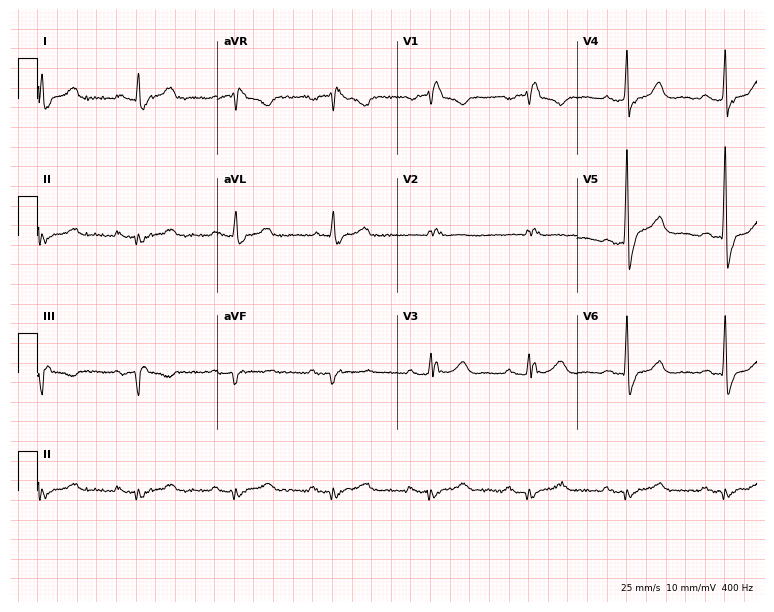
12-lead ECG from a 79-year-old man. Findings include right bundle branch block (RBBB).